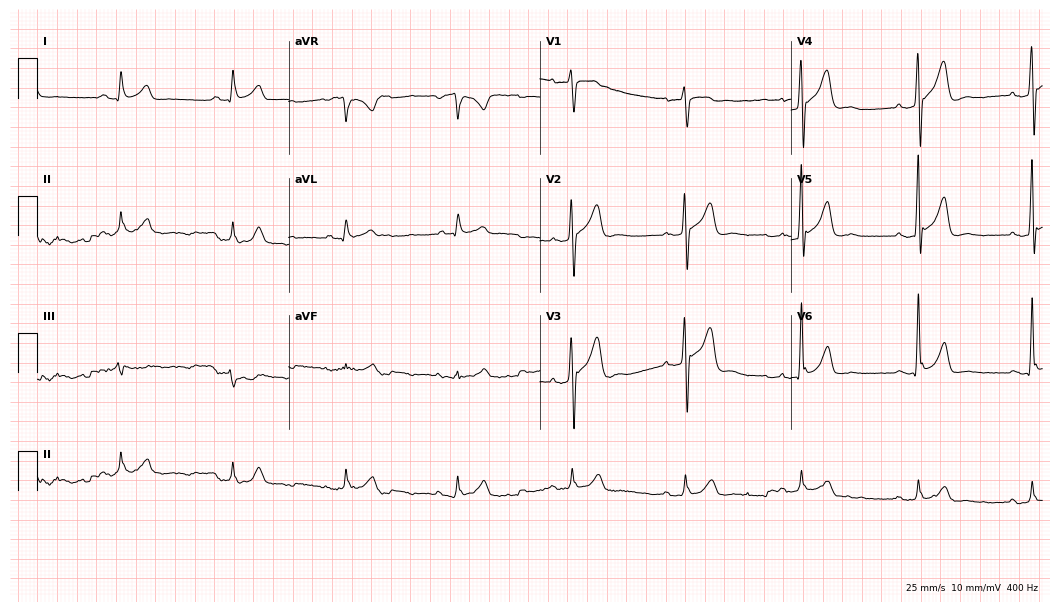
Resting 12-lead electrocardiogram (10.2-second recording at 400 Hz). Patient: a man, 76 years old. None of these six findings is recorded: first-degree AV block, right bundle branch block, left bundle branch block, sinus bradycardia, atrial fibrillation, sinus tachycardia.